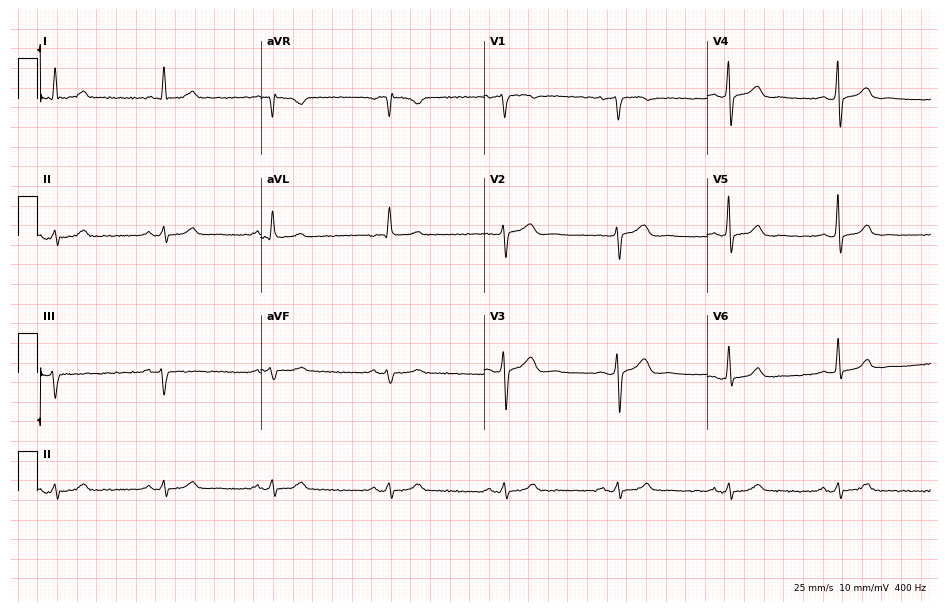
Standard 12-lead ECG recorded from a man, 58 years old (9.1-second recording at 400 Hz). None of these six findings is recorded: first-degree AV block, right bundle branch block, left bundle branch block, sinus bradycardia, atrial fibrillation, sinus tachycardia.